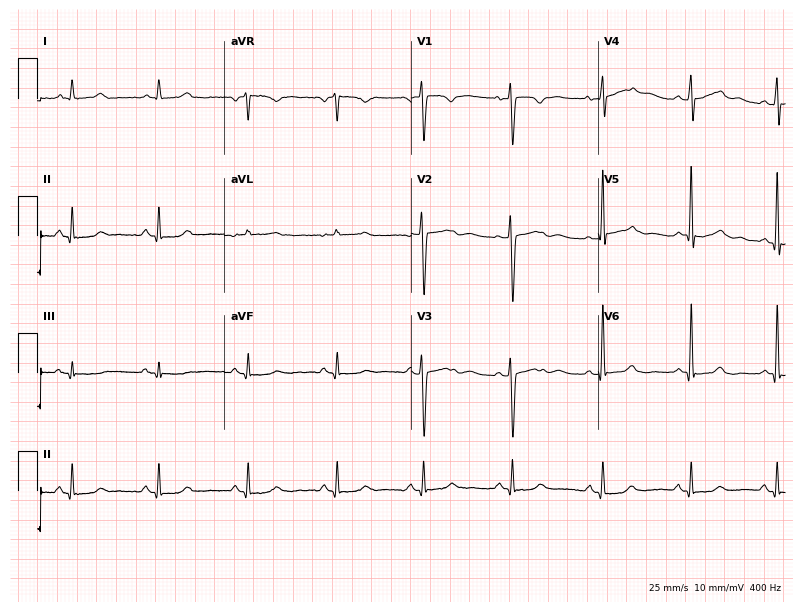
Resting 12-lead electrocardiogram (7.6-second recording at 400 Hz). Patient: a female, 44 years old. Read as a normal ECG.